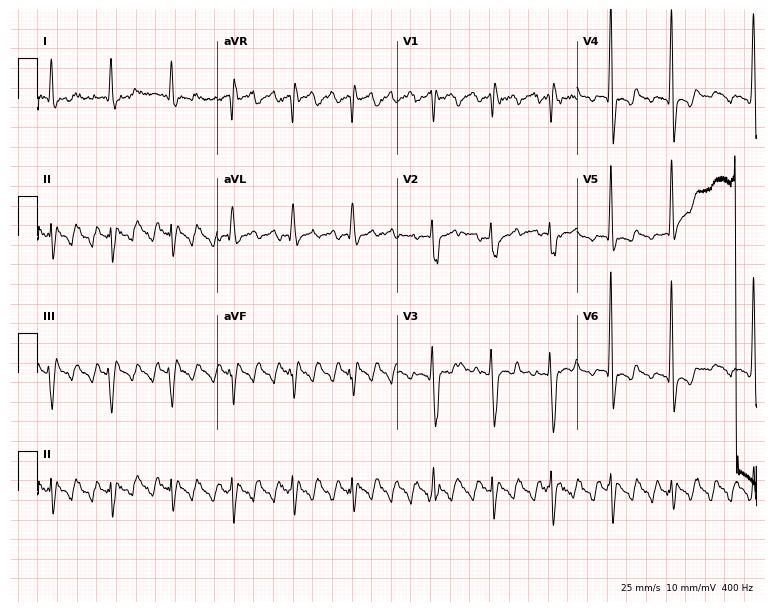
12-lead ECG from a 51-year-old man. No first-degree AV block, right bundle branch block, left bundle branch block, sinus bradycardia, atrial fibrillation or sinus tachycardia recorded for this tracing. Findings outside these six are not listed.